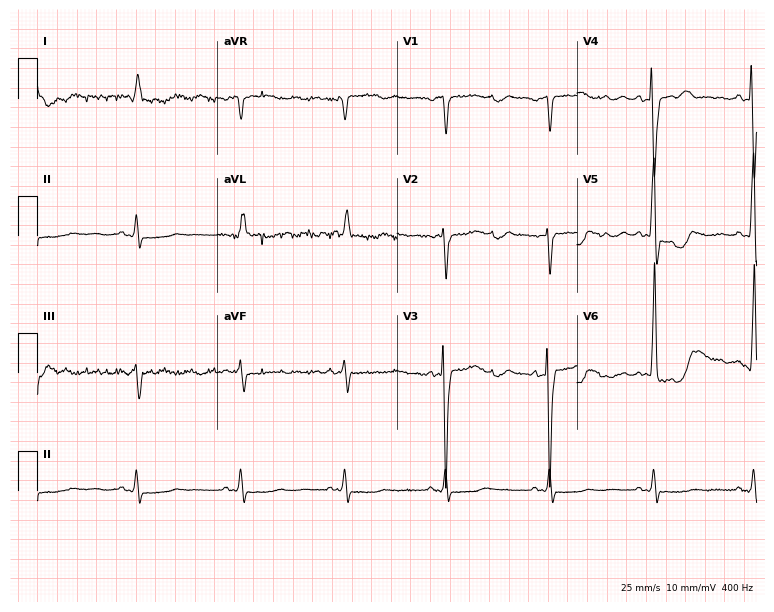
ECG — an 87-year-old male patient. Screened for six findings — first-degree AV block, right bundle branch block, left bundle branch block, sinus bradycardia, atrial fibrillation, sinus tachycardia — none is recorded. Findings outside these six are not listed.